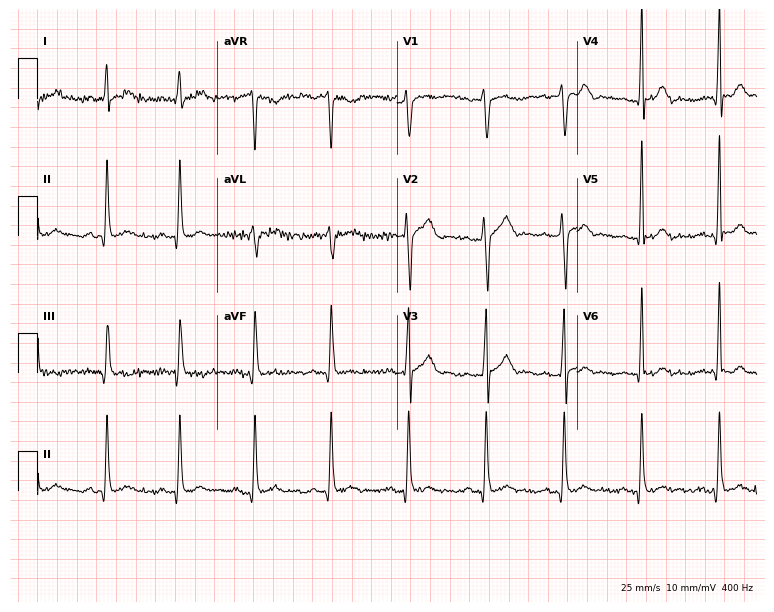
12-lead ECG from a 35-year-old man. Recorded interpretation: within normal limits.